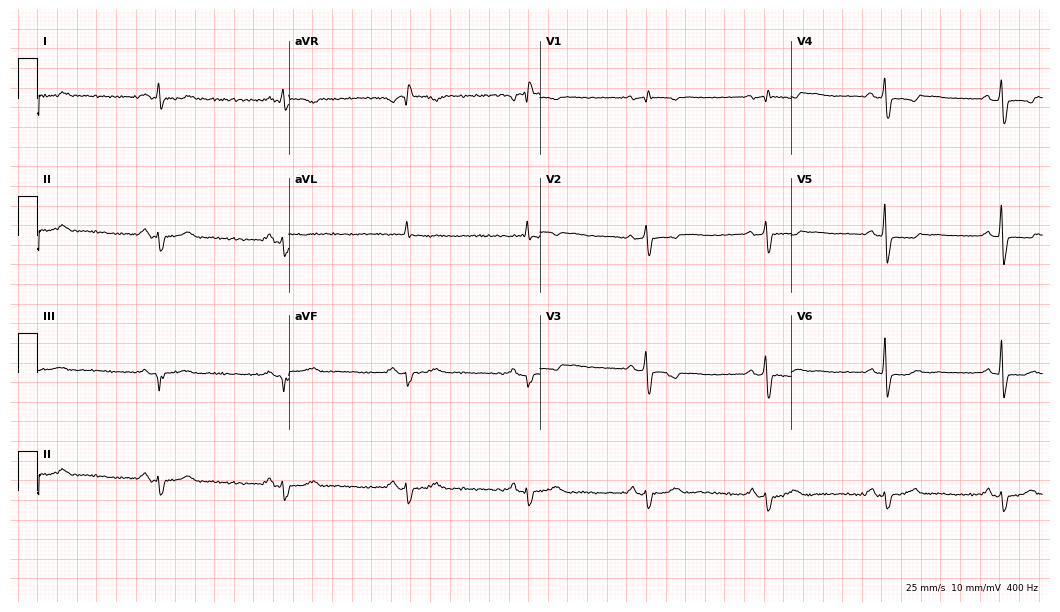
Resting 12-lead electrocardiogram. Patient: a male, 69 years old. The tracing shows sinus bradycardia (a sinus rate of 50 beats per minute or less).